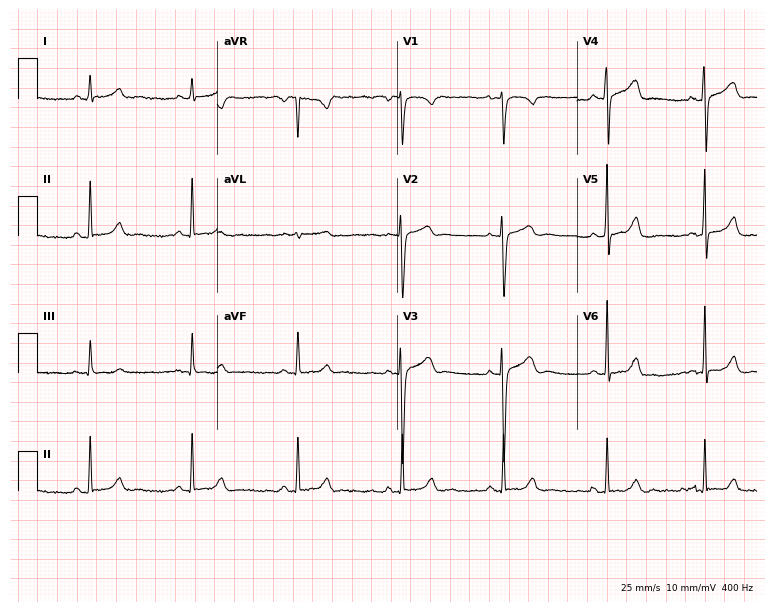
Standard 12-lead ECG recorded from a 35-year-old woman (7.3-second recording at 400 Hz). None of these six findings is recorded: first-degree AV block, right bundle branch block (RBBB), left bundle branch block (LBBB), sinus bradycardia, atrial fibrillation (AF), sinus tachycardia.